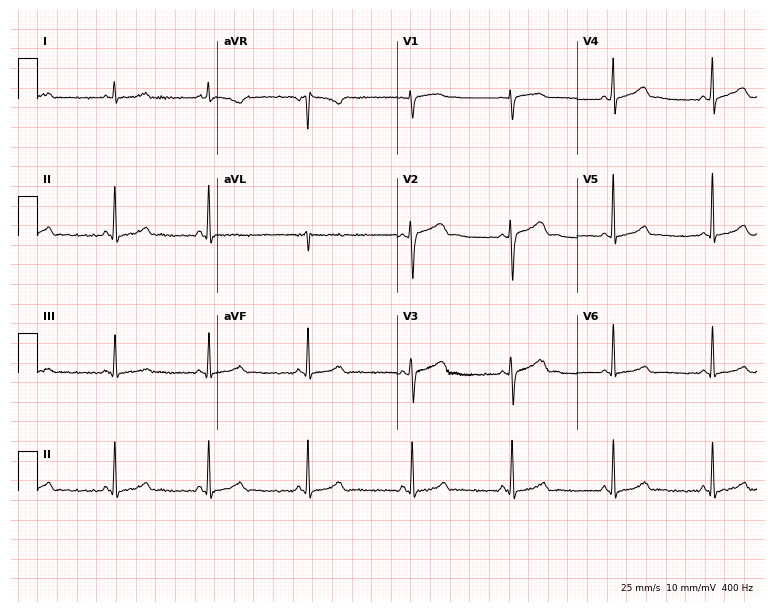
ECG (7.3-second recording at 400 Hz) — a female, 46 years old. Screened for six findings — first-degree AV block, right bundle branch block, left bundle branch block, sinus bradycardia, atrial fibrillation, sinus tachycardia — none is recorded.